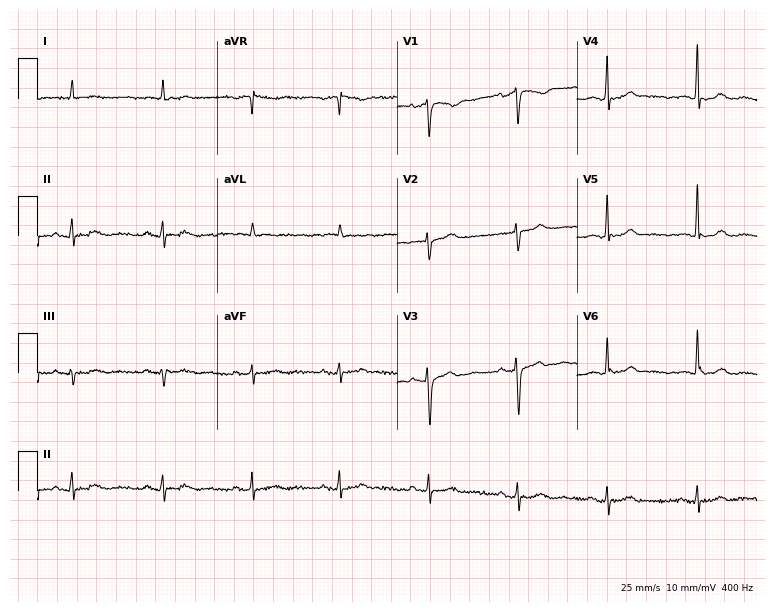
Electrocardiogram, a 62-year-old woman. Overall reading on record: normal ECG.